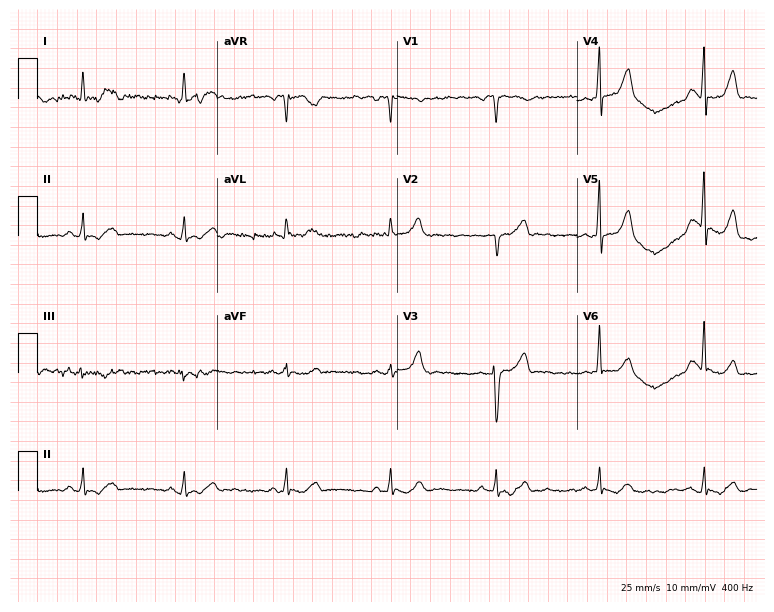
12-lead ECG from a male, 48 years old. Screened for six findings — first-degree AV block, right bundle branch block (RBBB), left bundle branch block (LBBB), sinus bradycardia, atrial fibrillation (AF), sinus tachycardia — none is recorded.